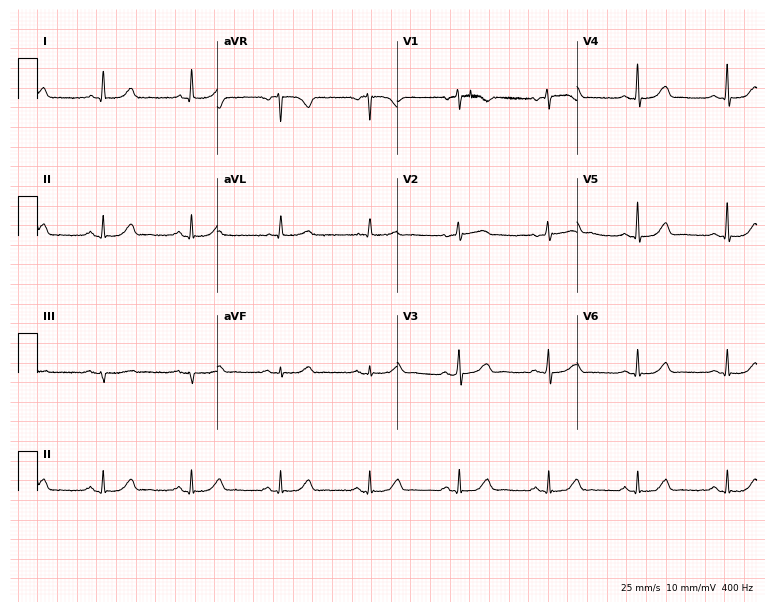
Resting 12-lead electrocardiogram (7.3-second recording at 400 Hz). Patient: a female, 78 years old. Read as a normal ECG.